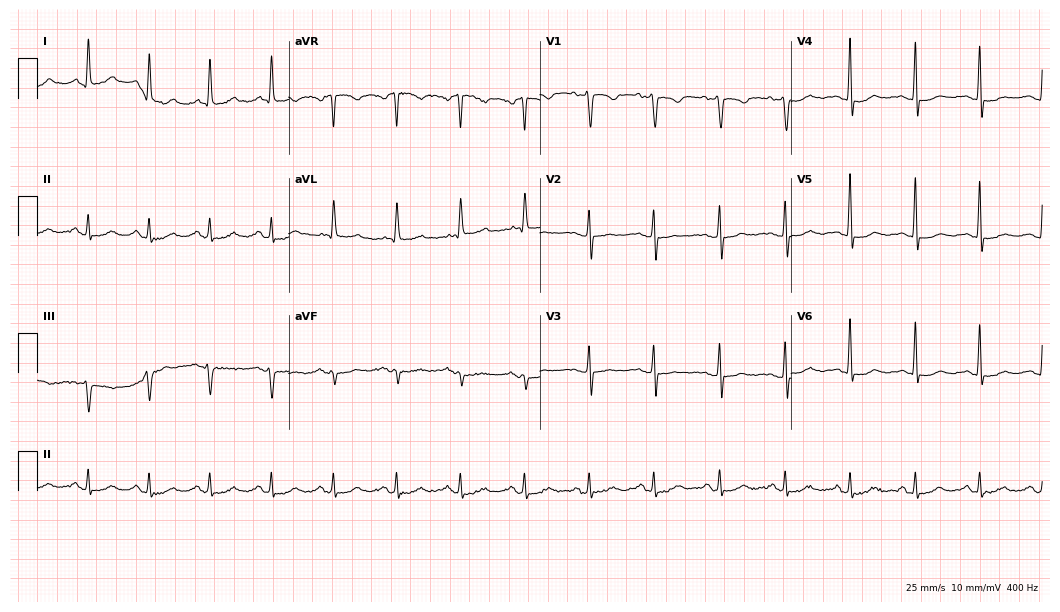
Resting 12-lead electrocardiogram (10.2-second recording at 400 Hz). Patient: a 54-year-old female. Read as a normal ECG.